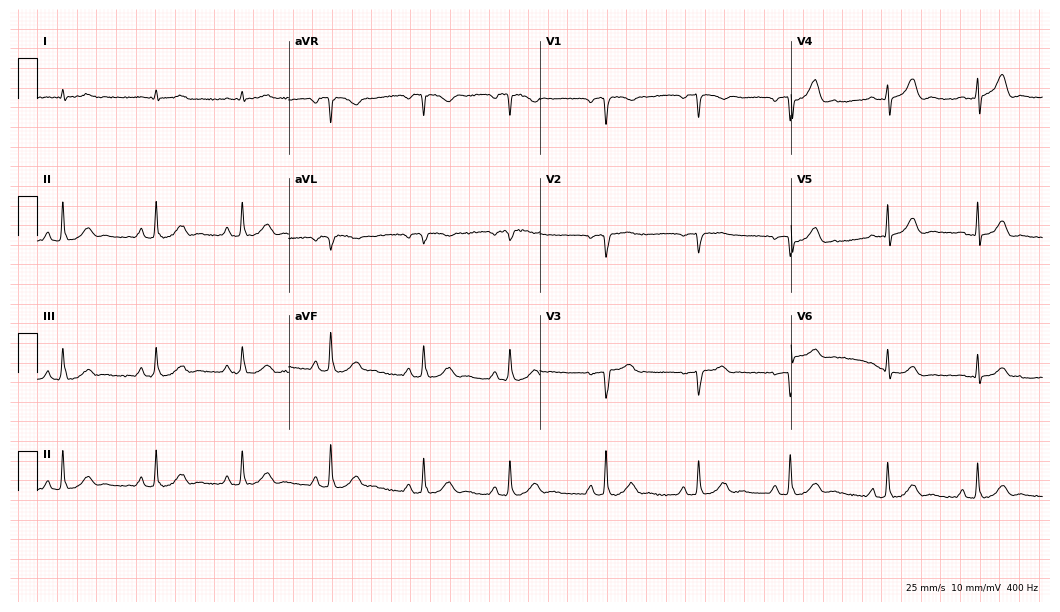
12-lead ECG from a male, 67 years old. Screened for six findings — first-degree AV block, right bundle branch block, left bundle branch block, sinus bradycardia, atrial fibrillation, sinus tachycardia — none is recorded.